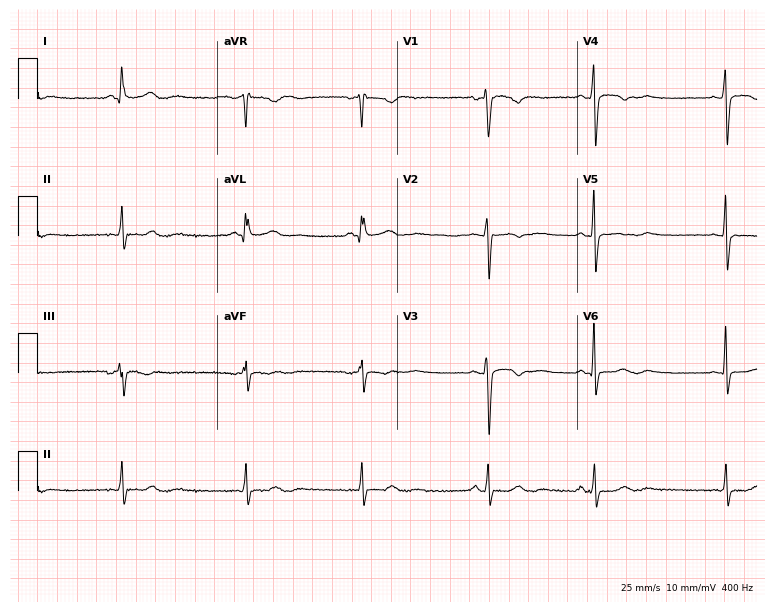
12-lead ECG from a female patient, 49 years old. Screened for six findings — first-degree AV block, right bundle branch block, left bundle branch block, sinus bradycardia, atrial fibrillation, sinus tachycardia — none is recorded.